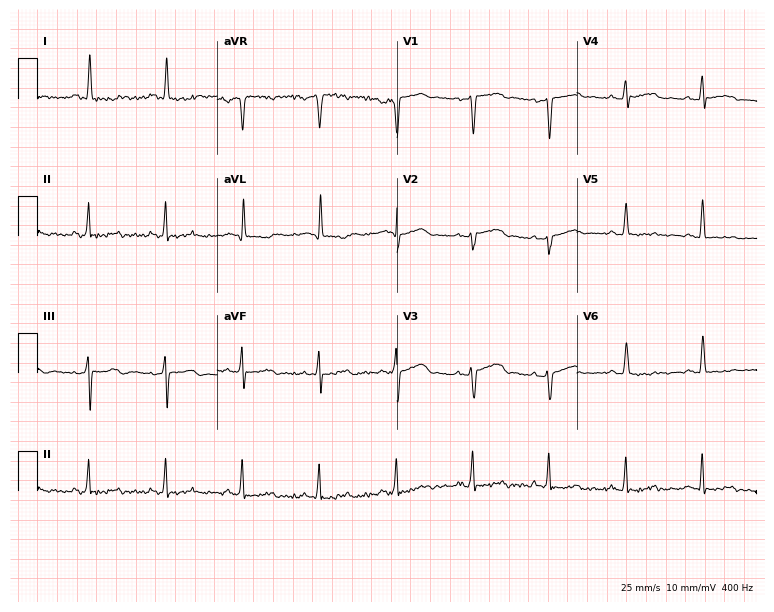
Standard 12-lead ECG recorded from a 58-year-old man (7.3-second recording at 400 Hz). None of these six findings is recorded: first-degree AV block, right bundle branch block, left bundle branch block, sinus bradycardia, atrial fibrillation, sinus tachycardia.